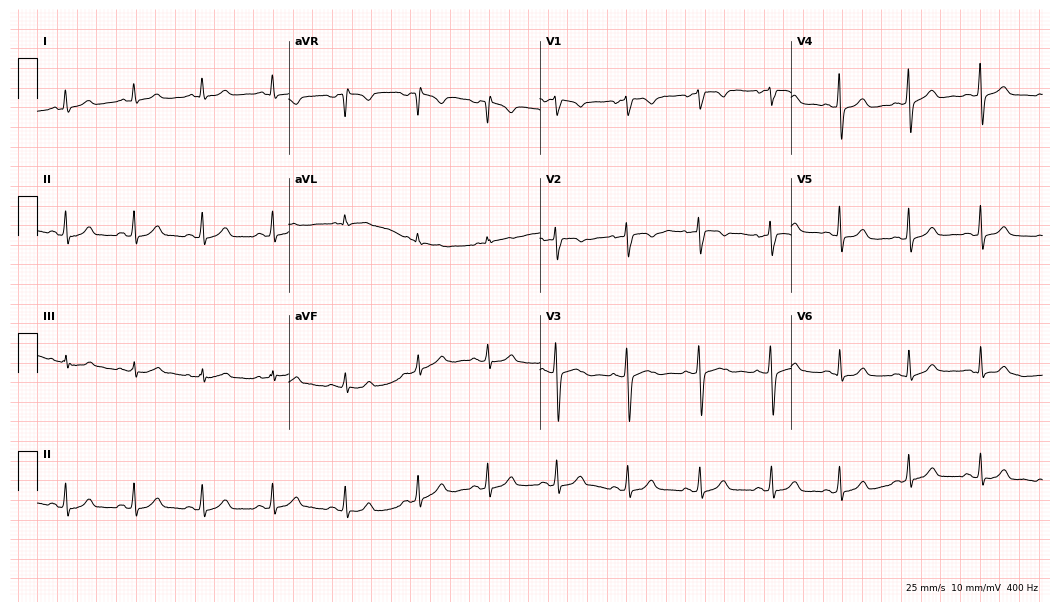
Standard 12-lead ECG recorded from a 23-year-old woman. Read as a normal ECG.